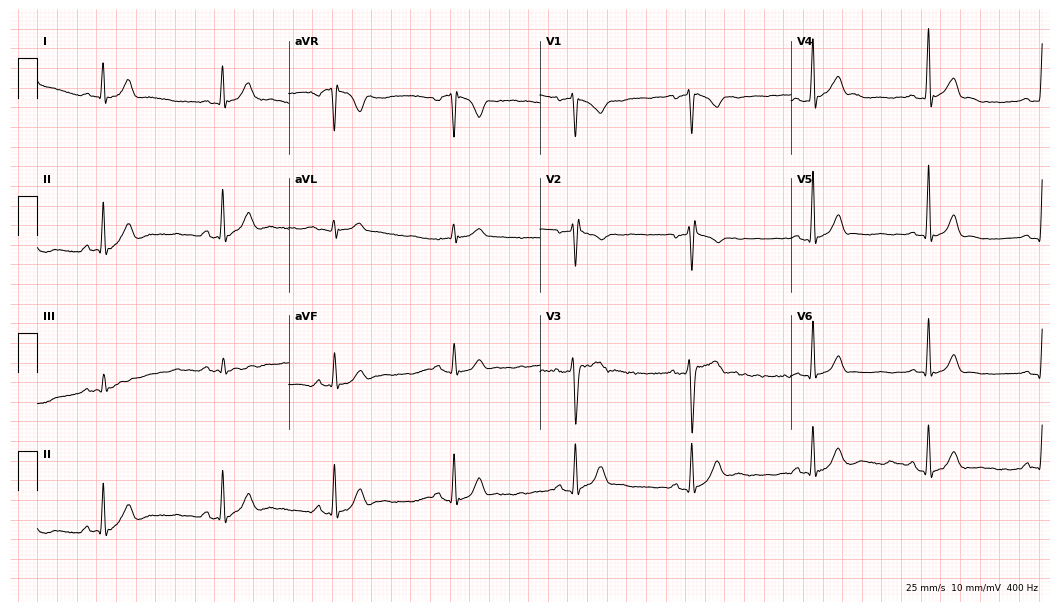
12-lead ECG (10.2-second recording at 400 Hz) from a male, 24 years old. Screened for six findings — first-degree AV block, right bundle branch block, left bundle branch block, sinus bradycardia, atrial fibrillation, sinus tachycardia — none is recorded. Other findings, if any, are not listed.